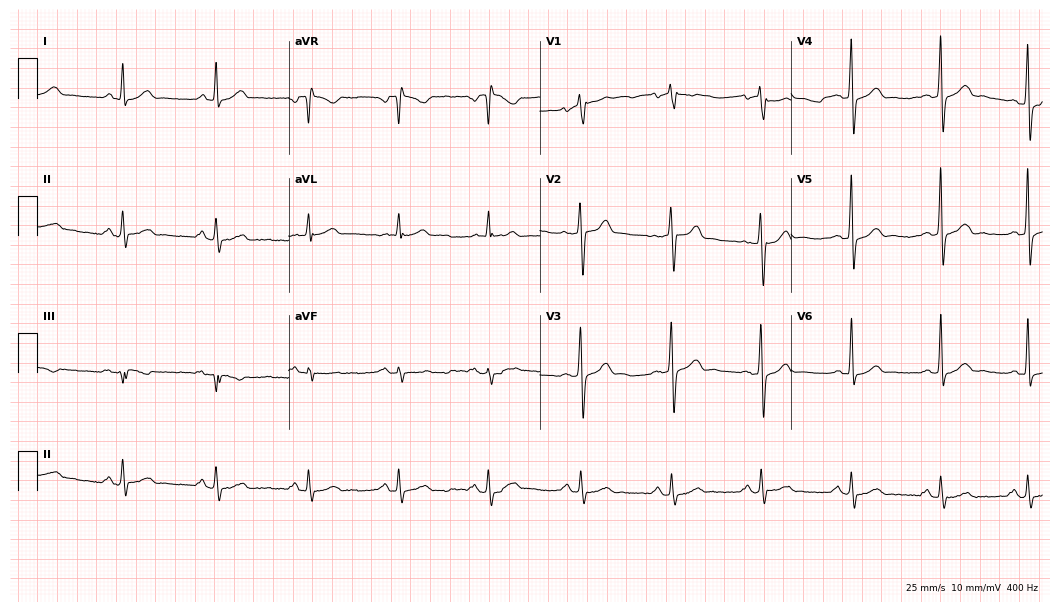
12-lead ECG from a male patient, 58 years old. Labelled as a normal ECG.